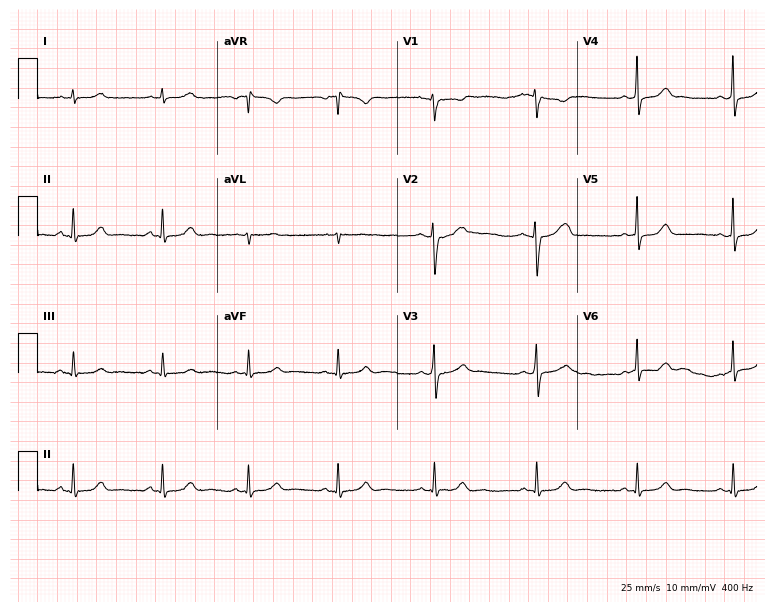
ECG — a 31-year-old female patient. Screened for six findings — first-degree AV block, right bundle branch block (RBBB), left bundle branch block (LBBB), sinus bradycardia, atrial fibrillation (AF), sinus tachycardia — none is recorded.